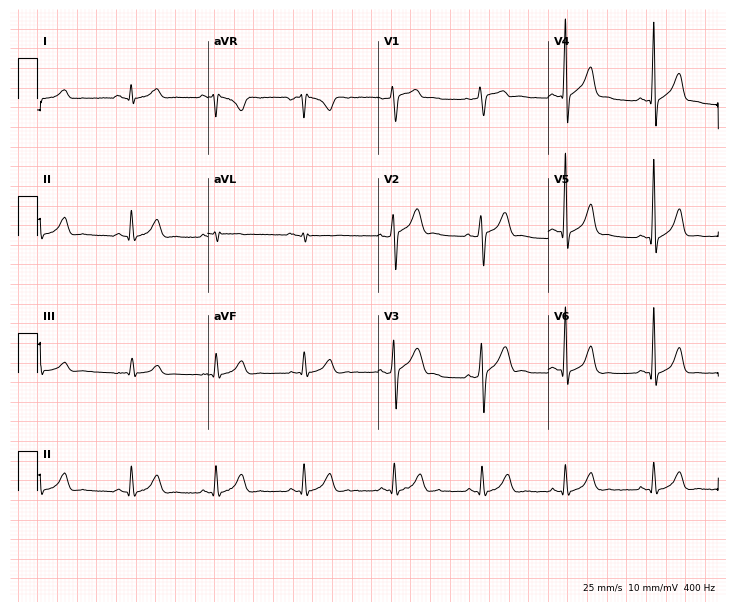
Standard 12-lead ECG recorded from a 22-year-old man (6.9-second recording at 400 Hz). None of these six findings is recorded: first-degree AV block, right bundle branch block (RBBB), left bundle branch block (LBBB), sinus bradycardia, atrial fibrillation (AF), sinus tachycardia.